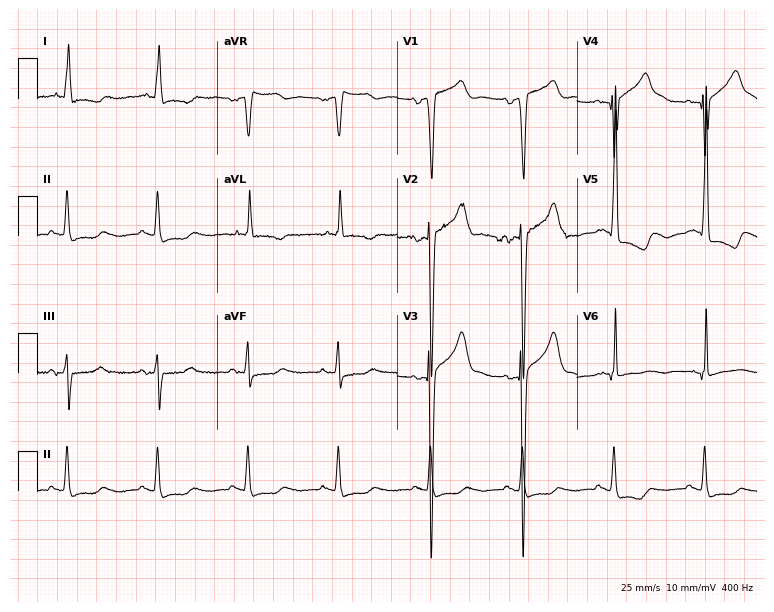
Resting 12-lead electrocardiogram (7.3-second recording at 400 Hz). Patient: an 82-year-old male. None of these six findings is recorded: first-degree AV block, right bundle branch block (RBBB), left bundle branch block (LBBB), sinus bradycardia, atrial fibrillation (AF), sinus tachycardia. Only these six findings were labelled.